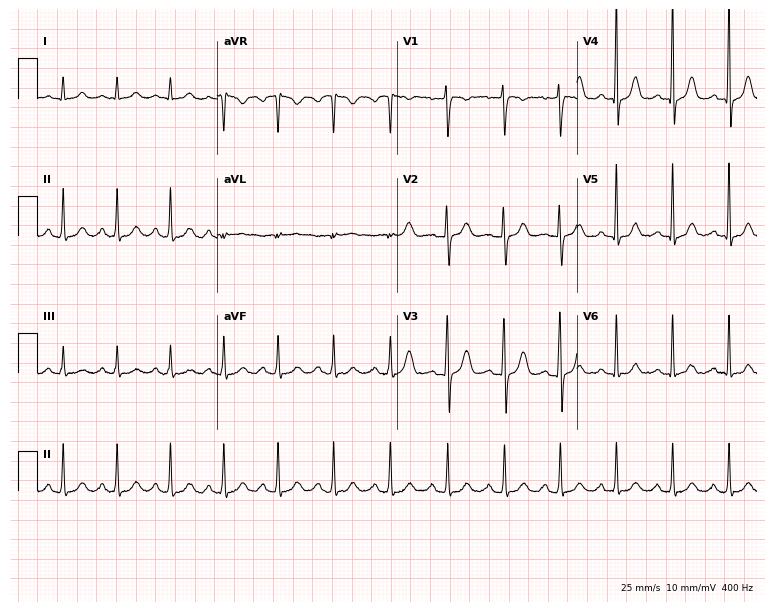
Electrocardiogram, a female patient, 31 years old. Of the six screened findings (first-degree AV block, right bundle branch block, left bundle branch block, sinus bradycardia, atrial fibrillation, sinus tachycardia), none is recorded.